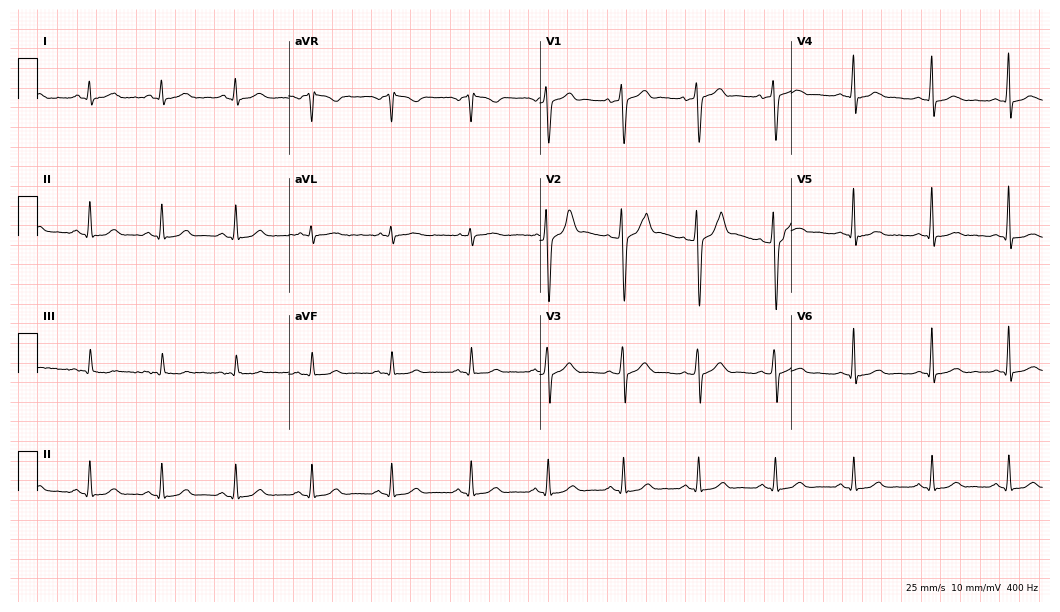
Resting 12-lead electrocardiogram. Patient: a male, 34 years old. None of these six findings is recorded: first-degree AV block, right bundle branch block, left bundle branch block, sinus bradycardia, atrial fibrillation, sinus tachycardia.